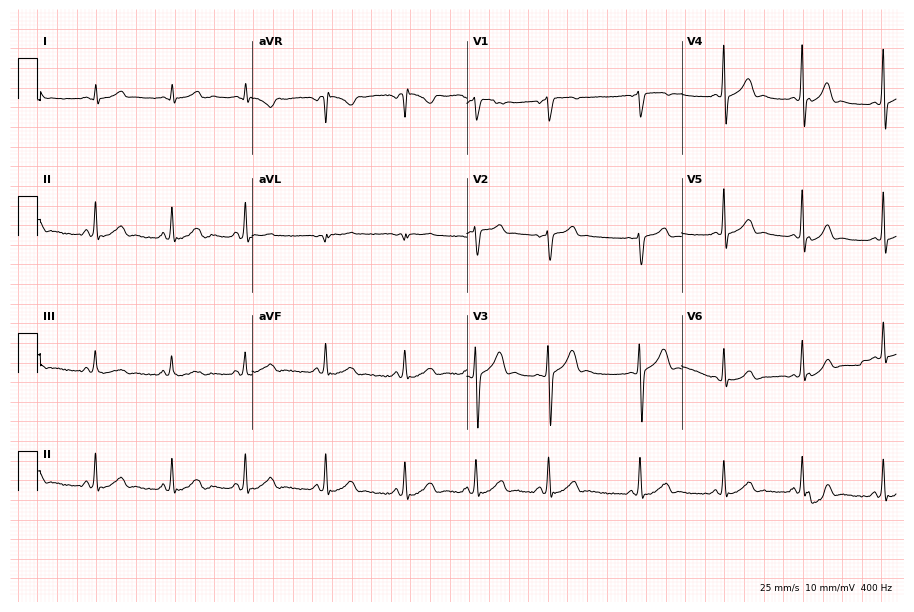
Resting 12-lead electrocardiogram. Patient: a 27-year-old male. Read as a normal ECG.